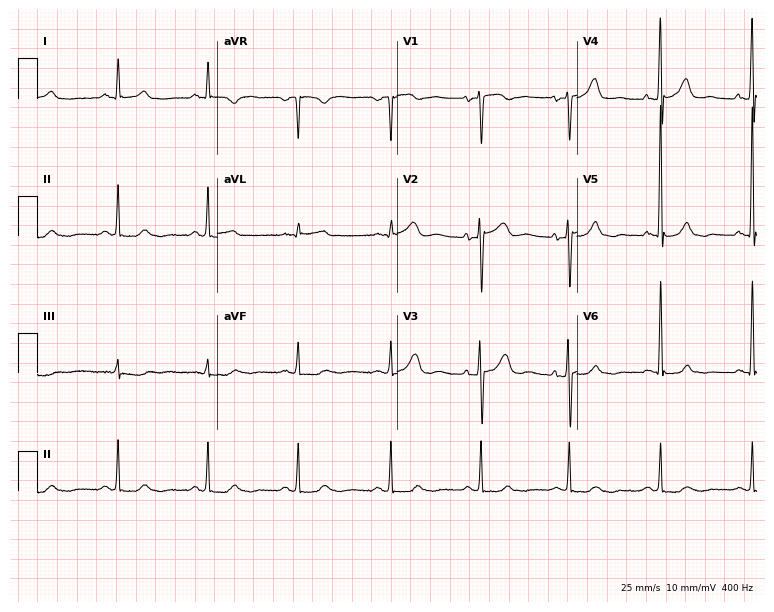
12-lead ECG (7.3-second recording at 400 Hz) from a male patient, 79 years old. Screened for six findings — first-degree AV block, right bundle branch block, left bundle branch block, sinus bradycardia, atrial fibrillation, sinus tachycardia — none is recorded. Findings outside these six are not listed.